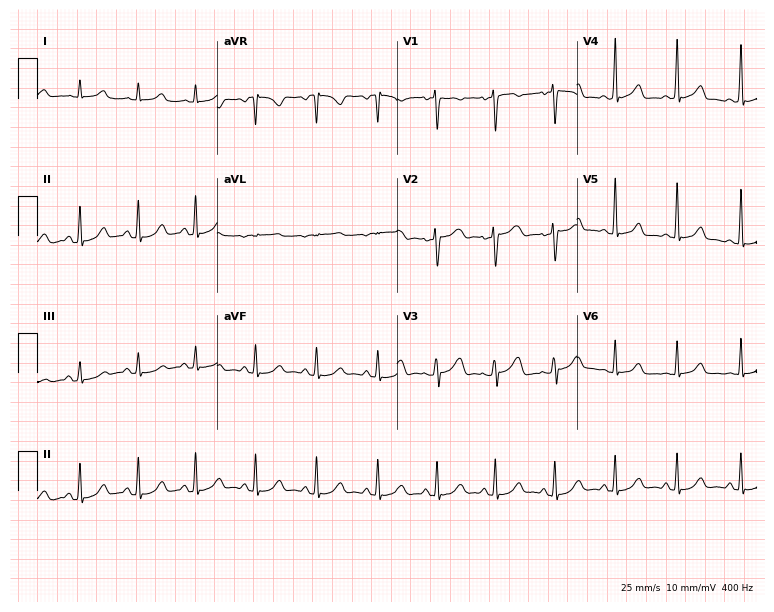
Electrocardiogram (7.3-second recording at 400 Hz), a 37-year-old woman. Of the six screened findings (first-degree AV block, right bundle branch block, left bundle branch block, sinus bradycardia, atrial fibrillation, sinus tachycardia), none is recorded.